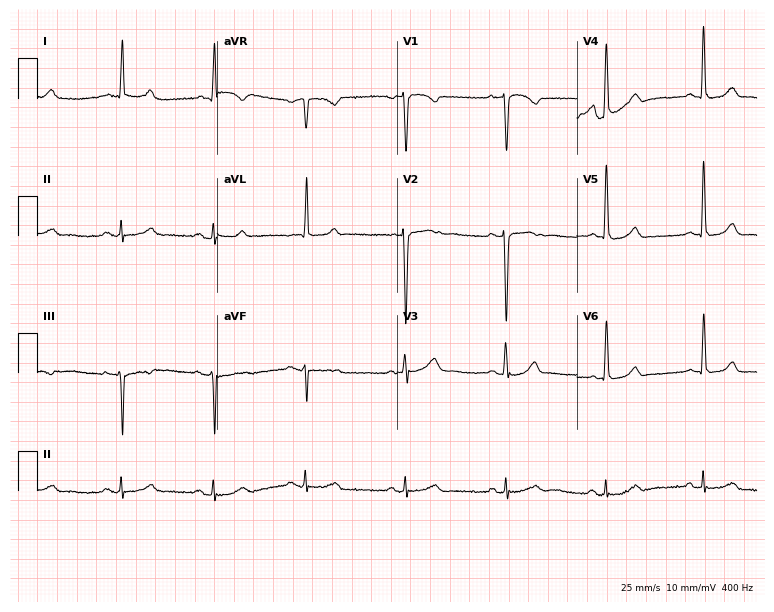
Electrocardiogram, a woman, 85 years old. Of the six screened findings (first-degree AV block, right bundle branch block (RBBB), left bundle branch block (LBBB), sinus bradycardia, atrial fibrillation (AF), sinus tachycardia), none is recorded. Other findings, if any, are not listed.